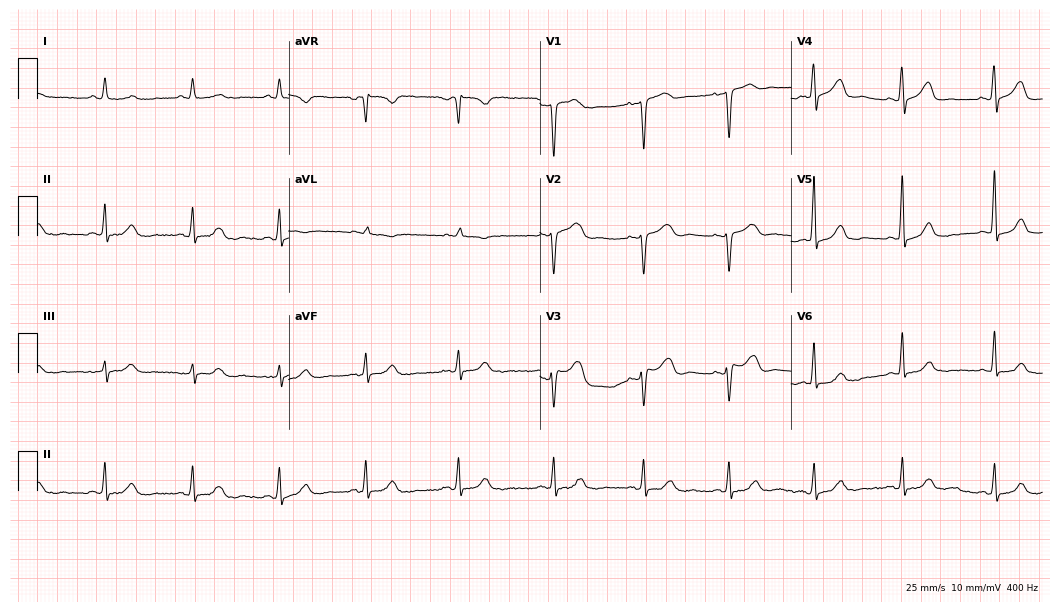
12-lead ECG (10.2-second recording at 400 Hz) from a female patient, 47 years old. Labelled as a normal ECG.